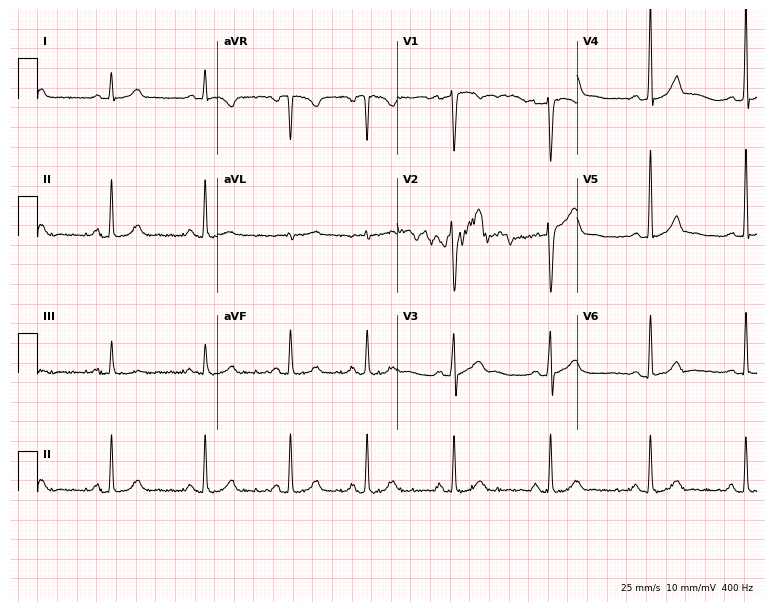
12-lead ECG (7.3-second recording at 400 Hz) from a male, 29 years old. Labelled as a normal ECG.